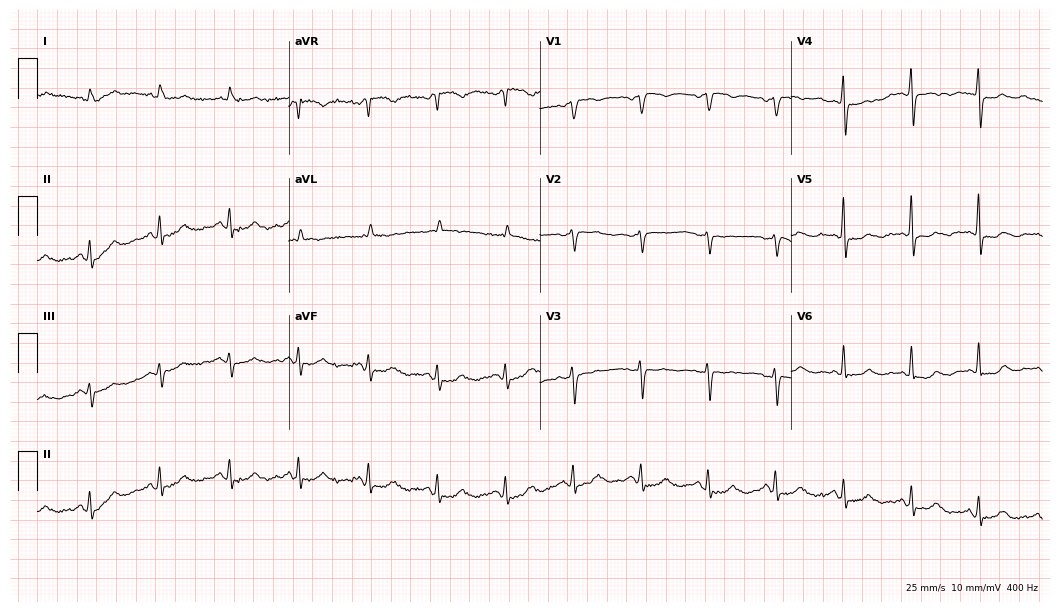
Standard 12-lead ECG recorded from a female patient, 77 years old. None of these six findings is recorded: first-degree AV block, right bundle branch block, left bundle branch block, sinus bradycardia, atrial fibrillation, sinus tachycardia. Only these six findings were labelled.